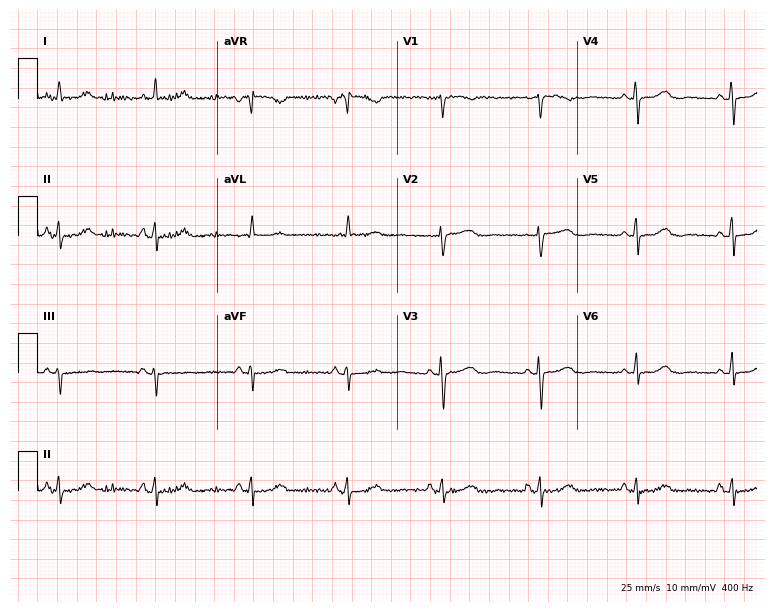
Standard 12-lead ECG recorded from a female, 62 years old (7.3-second recording at 400 Hz). None of these six findings is recorded: first-degree AV block, right bundle branch block (RBBB), left bundle branch block (LBBB), sinus bradycardia, atrial fibrillation (AF), sinus tachycardia. Other findings, if any, are not listed.